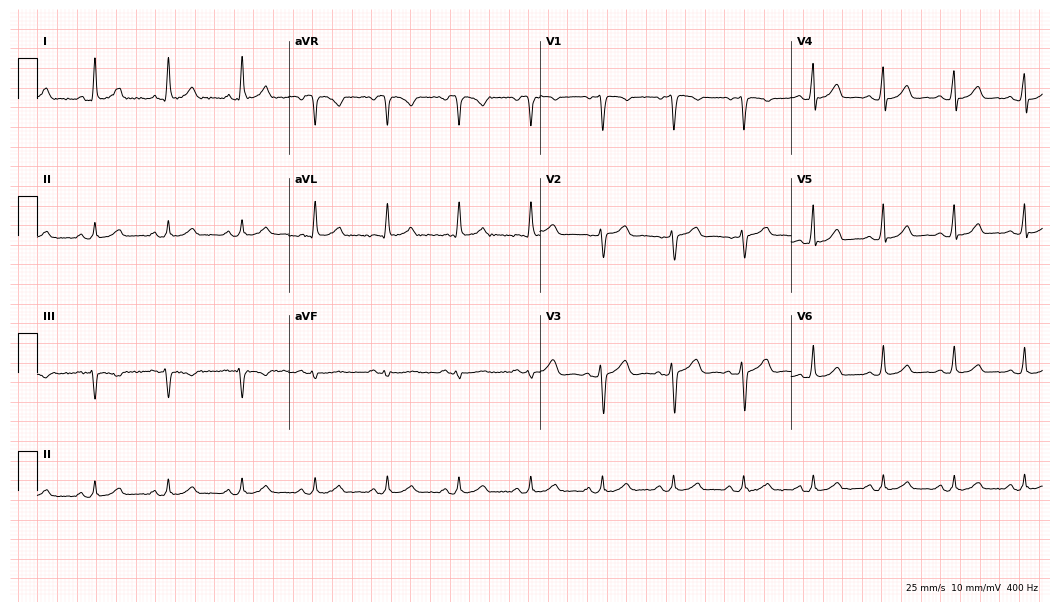
Standard 12-lead ECG recorded from a female patient, 55 years old. Read as a normal ECG.